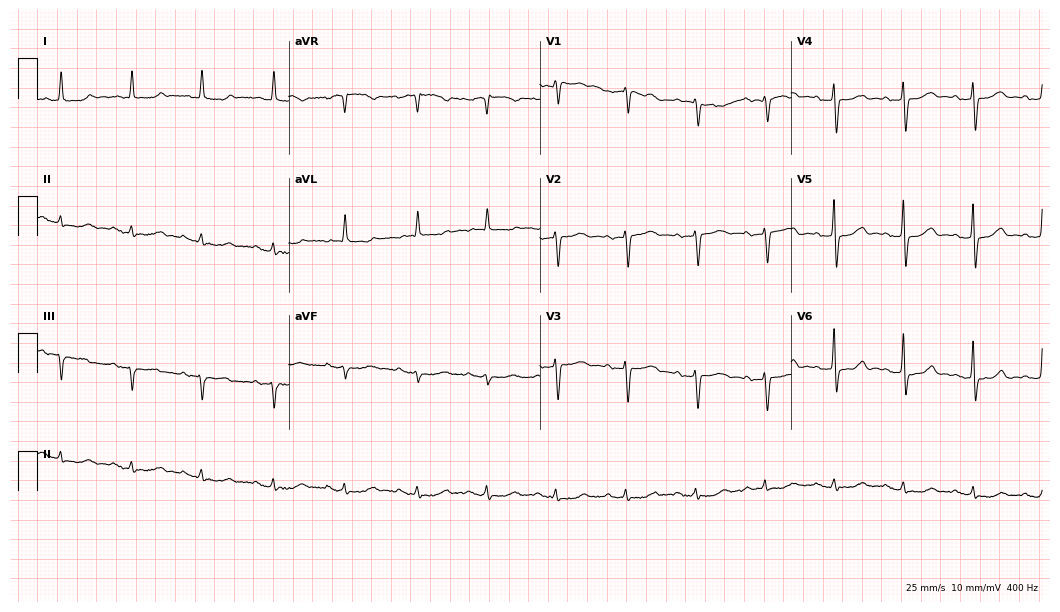
ECG (10.2-second recording at 400 Hz) — a 74-year-old female. Screened for six findings — first-degree AV block, right bundle branch block, left bundle branch block, sinus bradycardia, atrial fibrillation, sinus tachycardia — none is recorded.